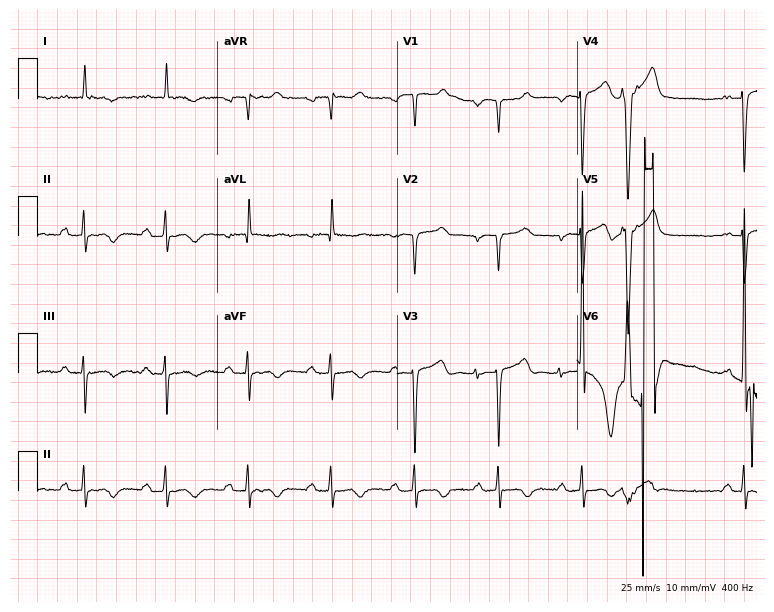
ECG — a 61-year-old woman. Screened for six findings — first-degree AV block, right bundle branch block, left bundle branch block, sinus bradycardia, atrial fibrillation, sinus tachycardia — none is recorded.